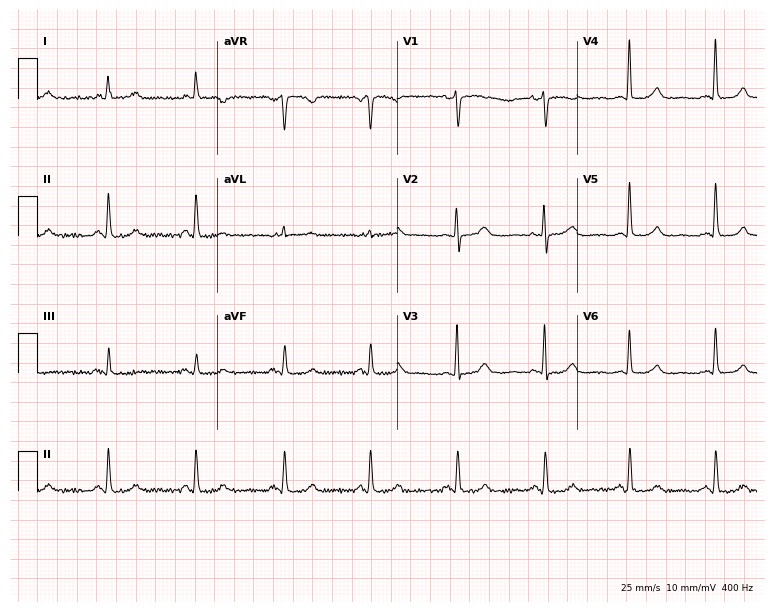
Electrocardiogram, a female, 66 years old. Of the six screened findings (first-degree AV block, right bundle branch block, left bundle branch block, sinus bradycardia, atrial fibrillation, sinus tachycardia), none is recorded.